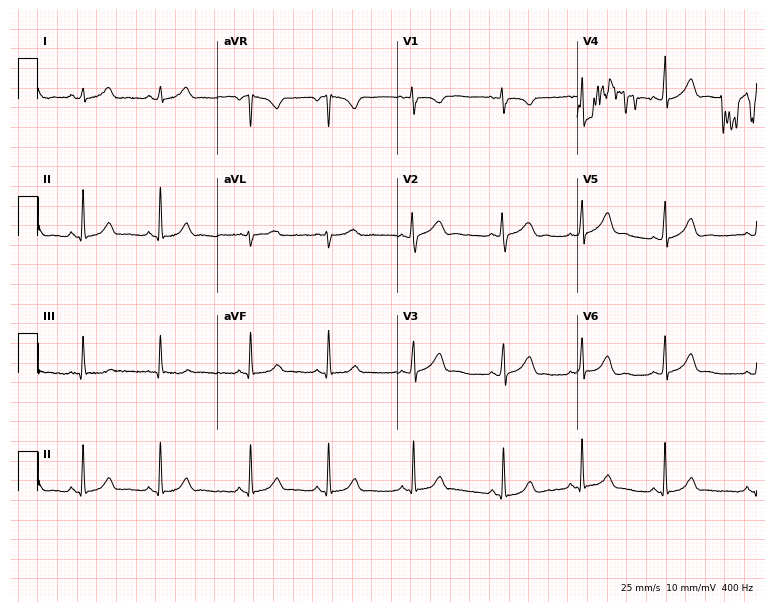
12-lead ECG from a 23-year-old female (7.3-second recording at 400 Hz). No first-degree AV block, right bundle branch block (RBBB), left bundle branch block (LBBB), sinus bradycardia, atrial fibrillation (AF) or sinus tachycardia recorded for this tracing. Other findings, if any, are not listed.